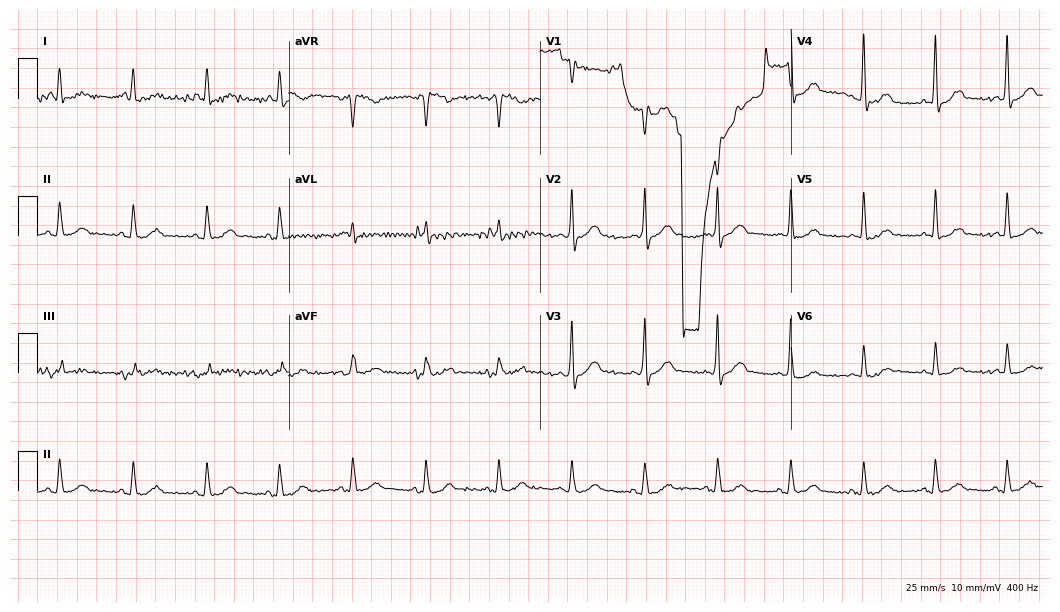
12-lead ECG (10.2-second recording at 400 Hz) from a 77-year-old male patient. Labelled as a normal ECG.